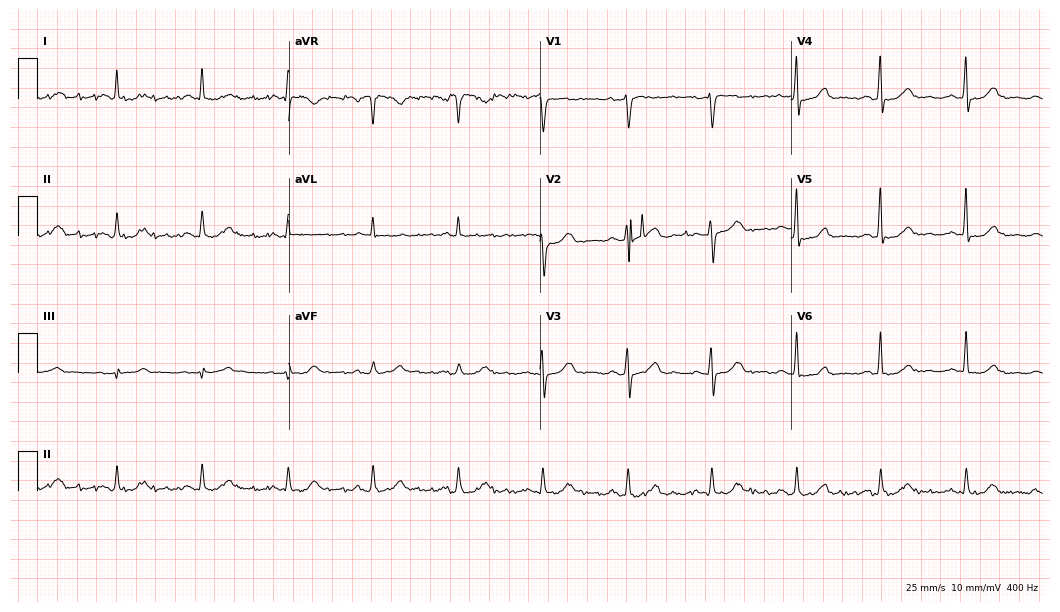
Resting 12-lead electrocardiogram. Patient: a 59-year-old male. None of these six findings is recorded: first-degree AV block, right bundle branch block (RBBB), left bundle branch block (LBBB), sinus bradycardia, atrial fibrillation (AF), sinus tachycardia.